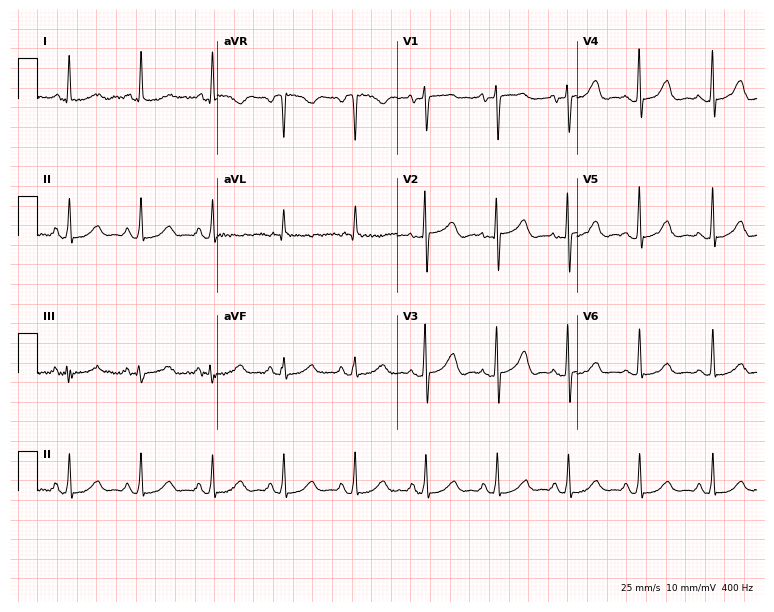
Resting 12-lead electrocardiogram (7.3-second recording at 400 Hz). Patient: a 46-year-old male. Read as a normal ECG.